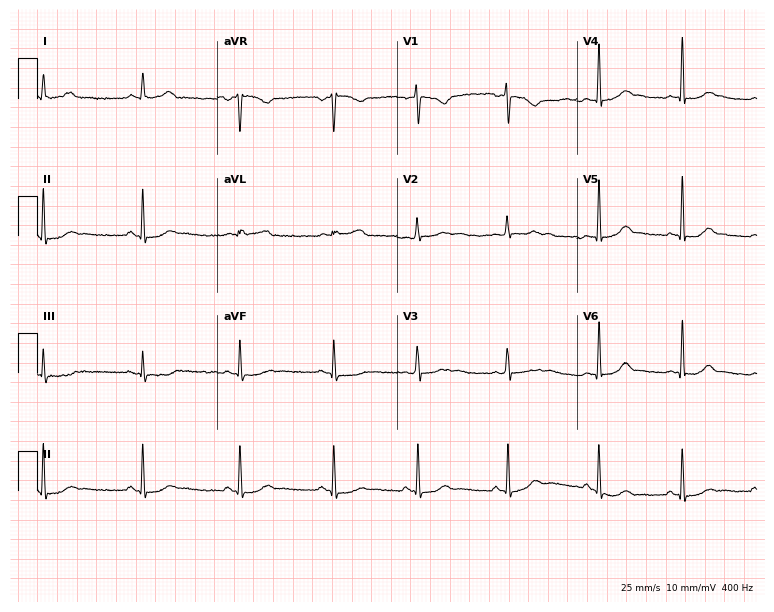
Standard 12-lead ECG recorded from a woman, 28 years old (7.3-second recording at 400 Hz). None of these six findings is recorded: first-degree AV block, right bundle branch block (RBBB), left bundle branch block (LBBB), sinus bradycardia, atrial fibrillation (AF), sinus tachycardia.